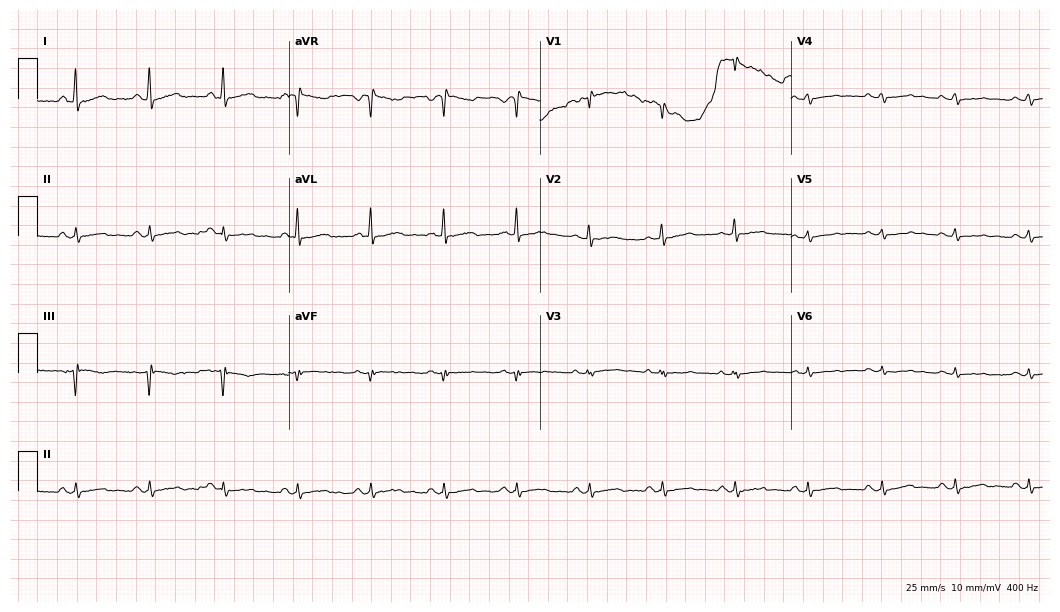
12-lead ECG from a 50-year-old female patient. No first-degree AV block, right bundle branch block, left bundle branch block, sinus bradycardia, atrial fibrillation or sinus tachycardia recorded for this tracing.